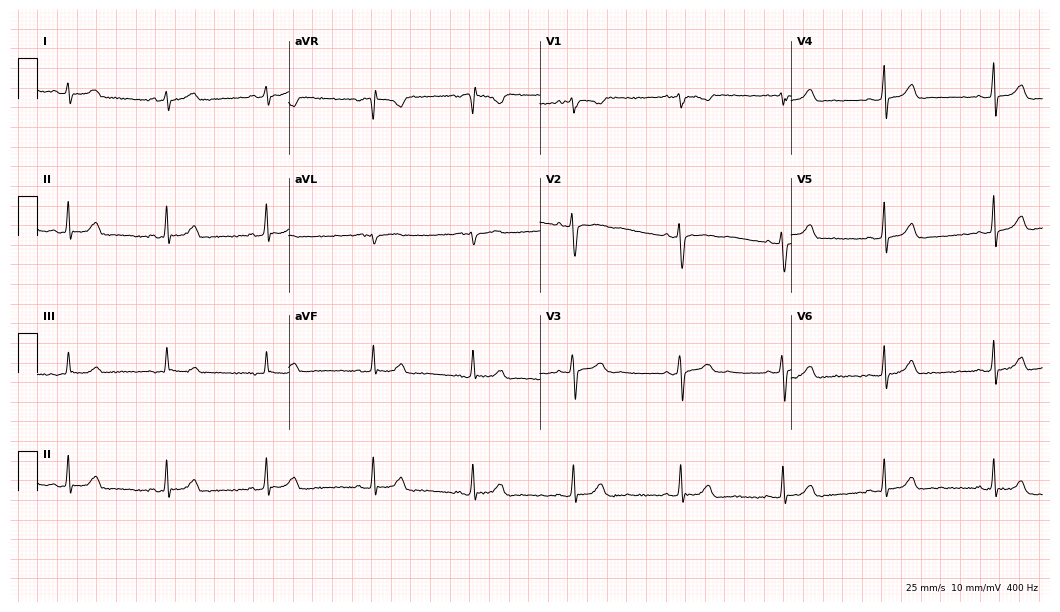
Resting 12-lead electrocardiogram (10.2-second recording at 400 Hz). Patient: a woman, 17 years old. Read as a normal ECG.